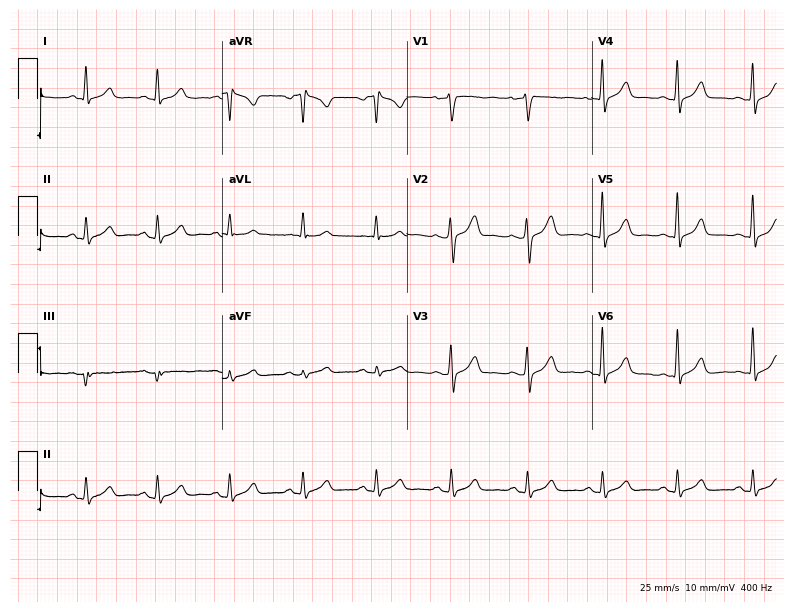
12-lead ECG from a 53-year-old male (7.5-second recording at 400 Hz). No first-degree AV block, right bundle branch block (RBBB), left bundle branch block (LBBB), sinus bradycardia, atrial fibrillation (AF) or sinus tachycardia recorded for this tracing. Only these six findings were labelled.